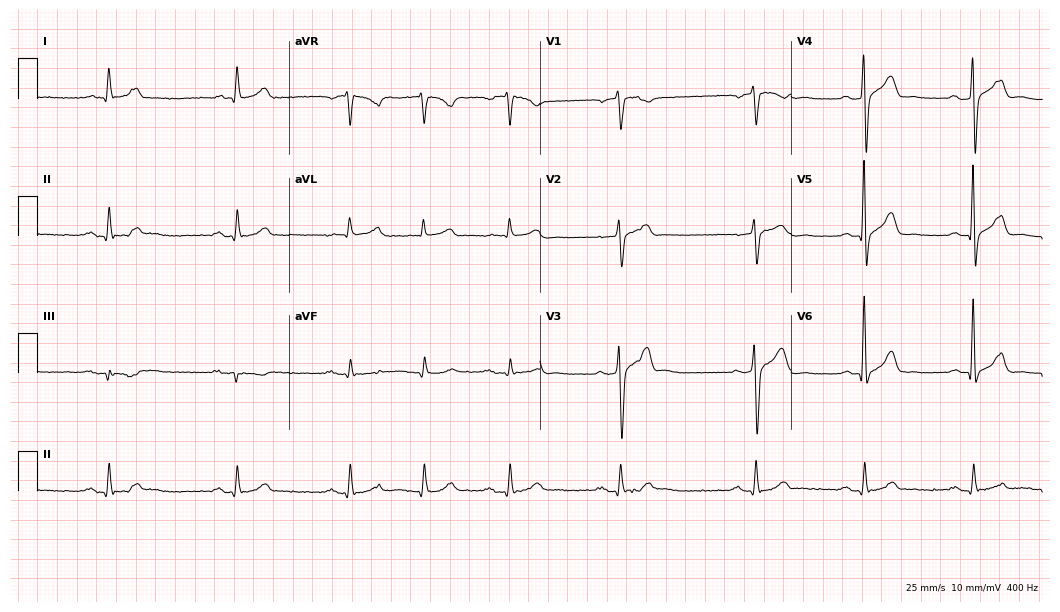
ECG (10.2-second recording at 400 Hz) — a male patient, 78 years old. Screened for six findings — first-degree AV block, right bundle branch block, left bundle branch block, sinus bradycardia, atrial fibrillation, sinus tachycardia — none is recorded. Findings outside these six are not listed.